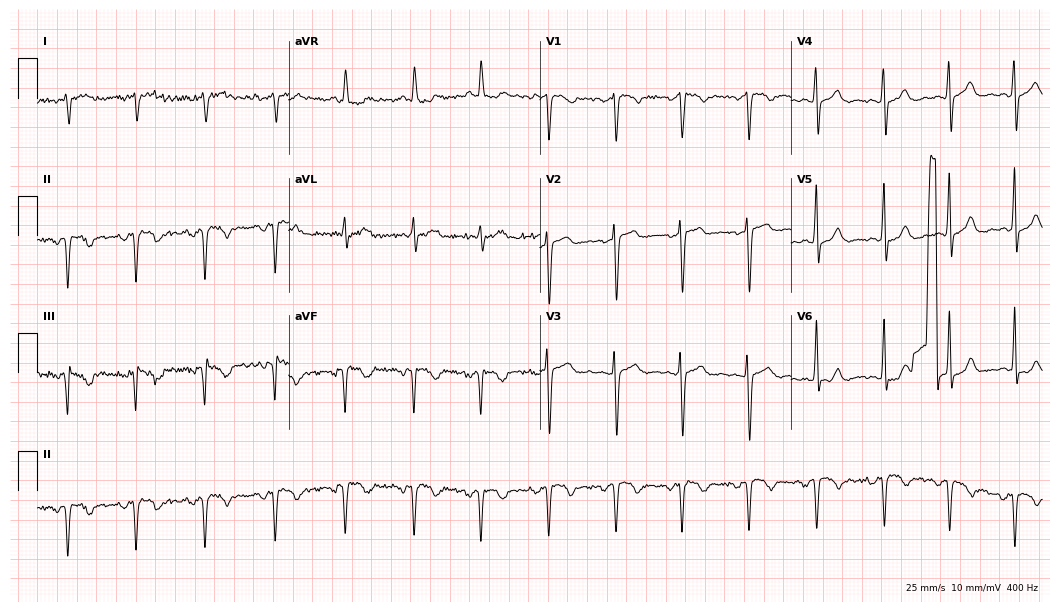
12-lead ECG (10.2-second recording at 400 Hz) from a 35-year-old female patient. Screened for six findings — first-degree AV block, right bundle branch block (RBBB), left bundle branch block (LBBB), sinus bradycardia, atrial fibrillation (AF), sinus tachycardia — none is recorded.